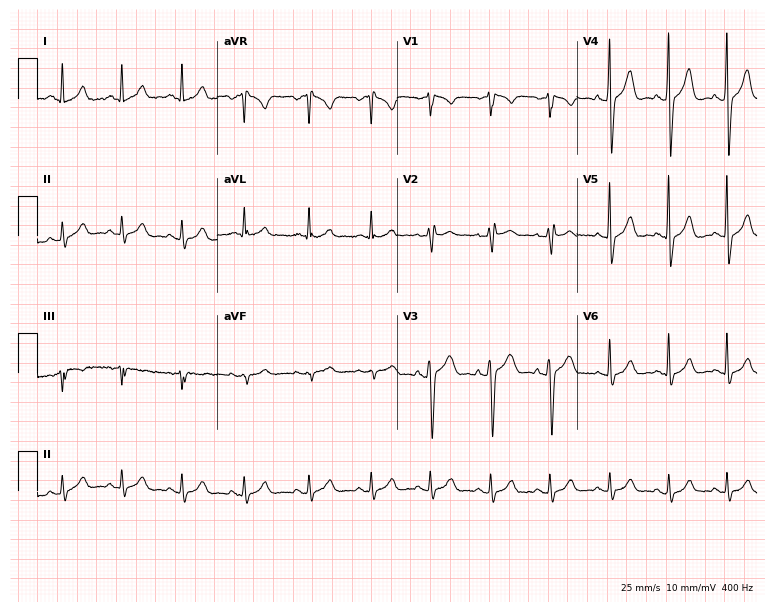
Resting 12-lead electrocardiogram. Patient: a 49-year-old male. None of these six findings is recorded: first-degree AV block, right bundle branch block, left bundle branch block, sinus bradycardia, atrial fibrillation, sinus tachycardia. Other findings, if any, are not listed.